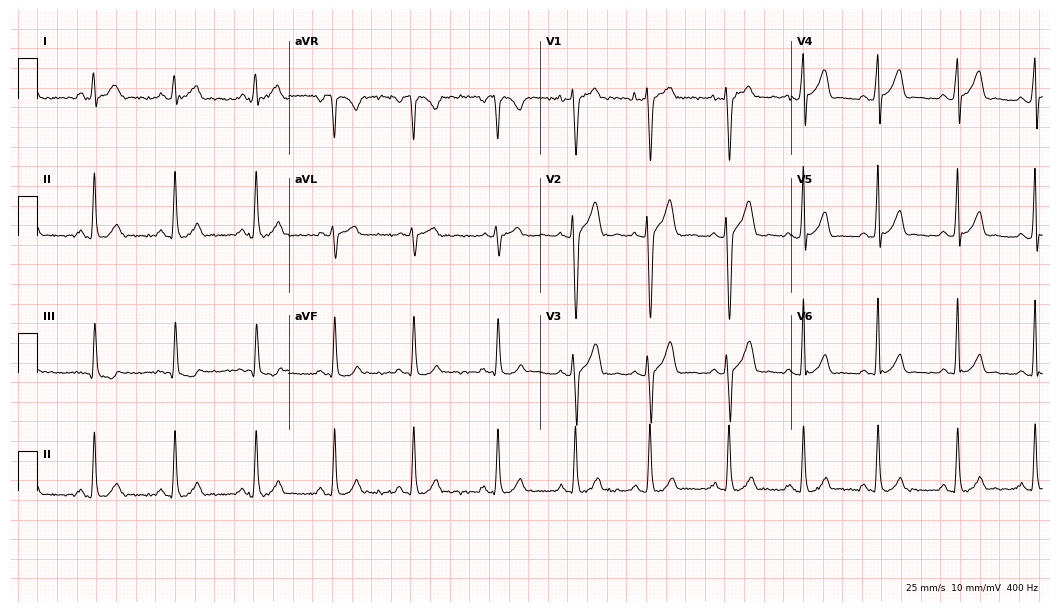
Resting 12-lead electrocardiogram. Patient: a male, 17 years old. Read as a normal ECG.